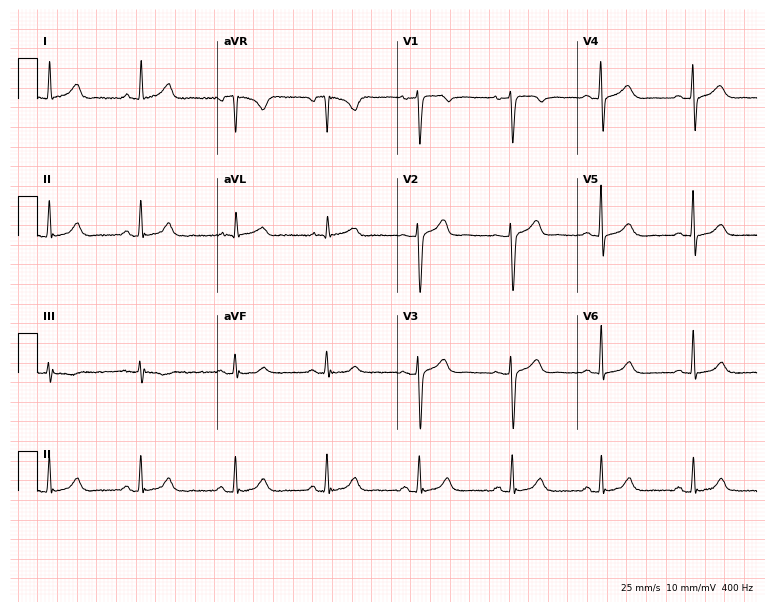
ECG — a female, 44 years old. Labelled as a normal ECG.